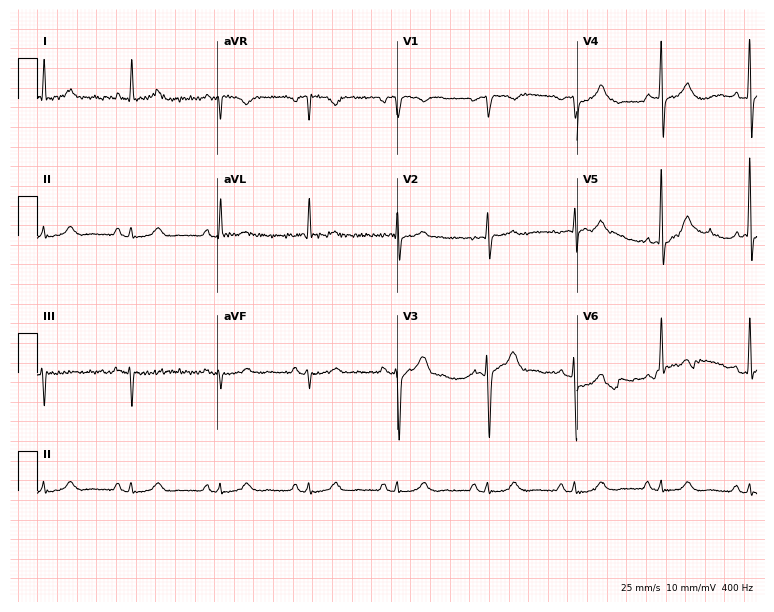
Resting 12-lead electrocardiogram. Patient: an 80-year-old male. Read as a normal ECG.